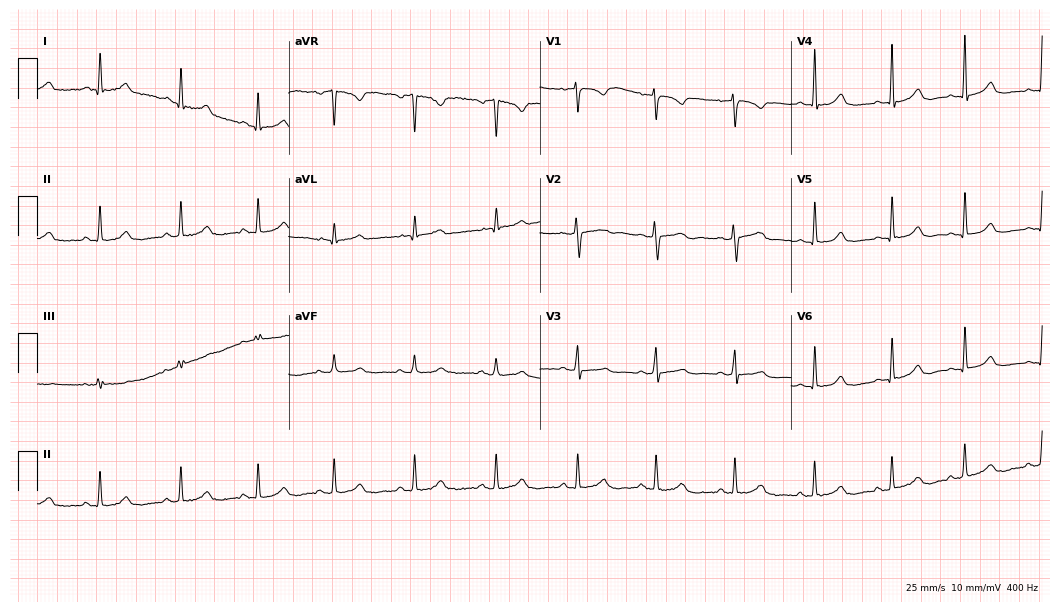
Electrocardiogram (10.2-second recording at 400 Hz), a 40-year-old female patient. Overall reading on record: normal ECG.